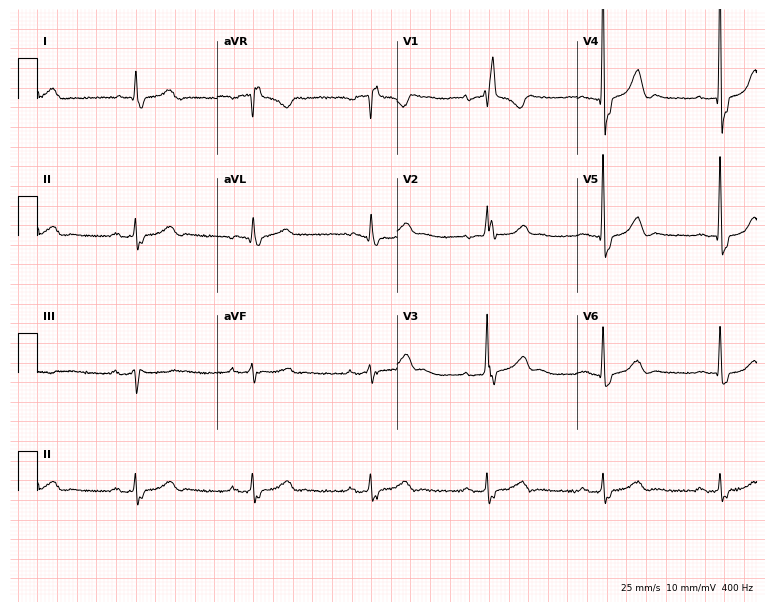
Resting 12-lead electrocardiogram (7.3-second recording at 400 Hz). Patient: a male, 85 years old. The tracing shows right bundle branch block.